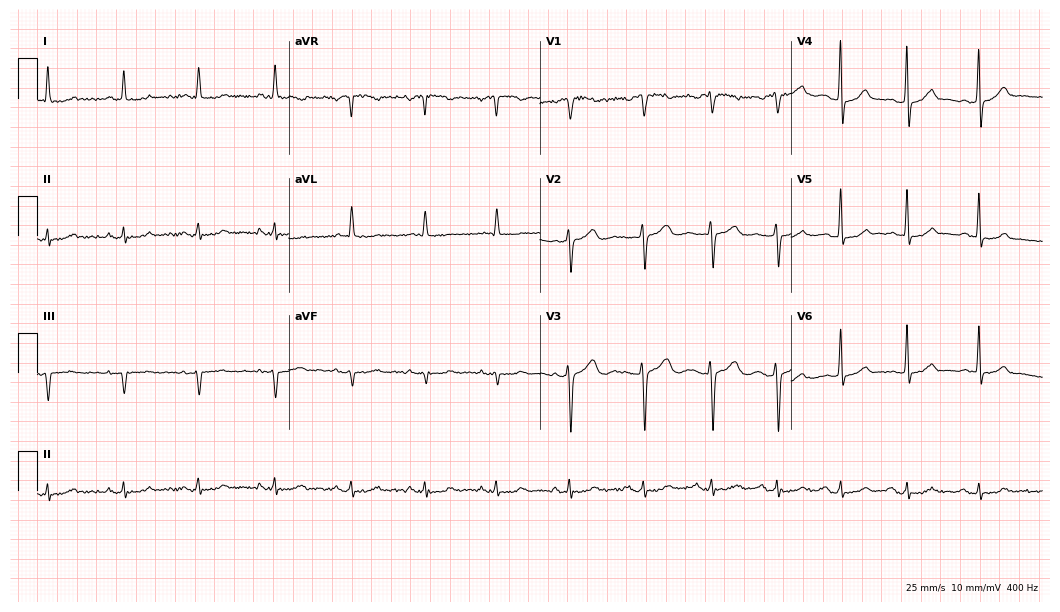
Standard 12-lead ECG recorded from a 72-year-old female (10.2-second recording at 400 Hz). None of these six findings is recorded: first-degree AV block, right bundle branch block (RBBB), left bundle branch block (LBBB), sinus bradycardia, atrial fibrillation (AF), sinus tachycardia. Other findings, if any, are not listed.